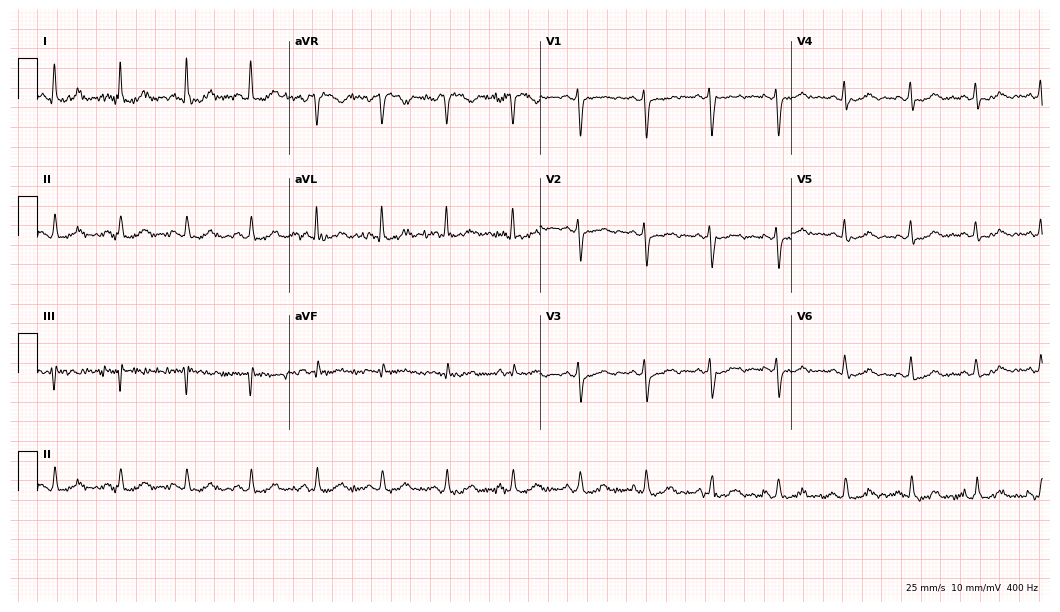
ECG — a female, 41 years old. Screened for six findings — first-degree AV block, right bundle branch block, left bundle branch block, sinus bradycardia, atrial fibrillation, sinus tachycardia — none is recorded.